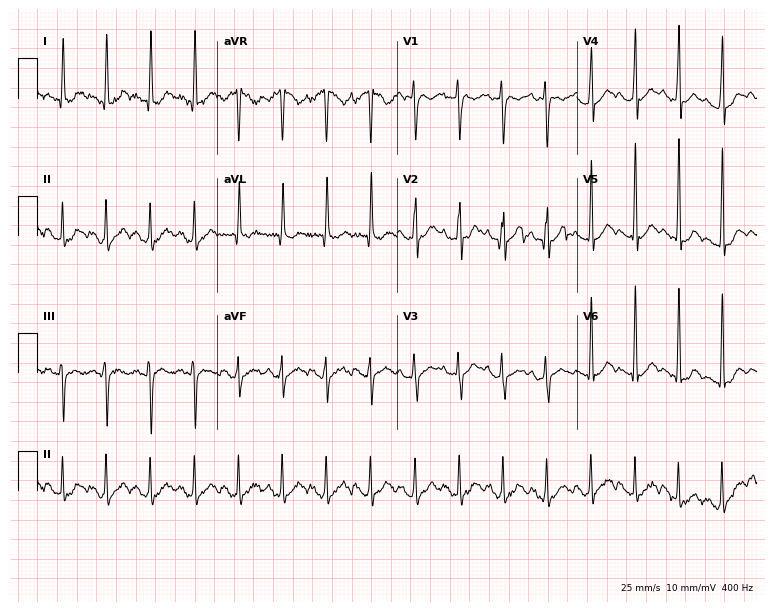
Resting 12-lead electrocardiogram (7.3-second recording at 400 Hz). Patient: a 17-year-old woman. The tracing shows sinus tachycardia (a sinus rate of 100 beats per minute or more).